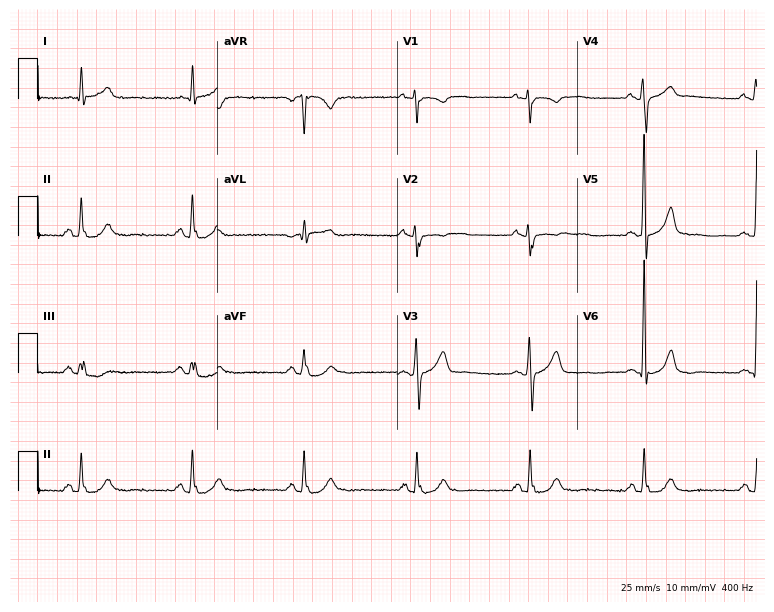
Standard 12-lead ECG recorded from a 71-year-old man. Read as a normal ECG.